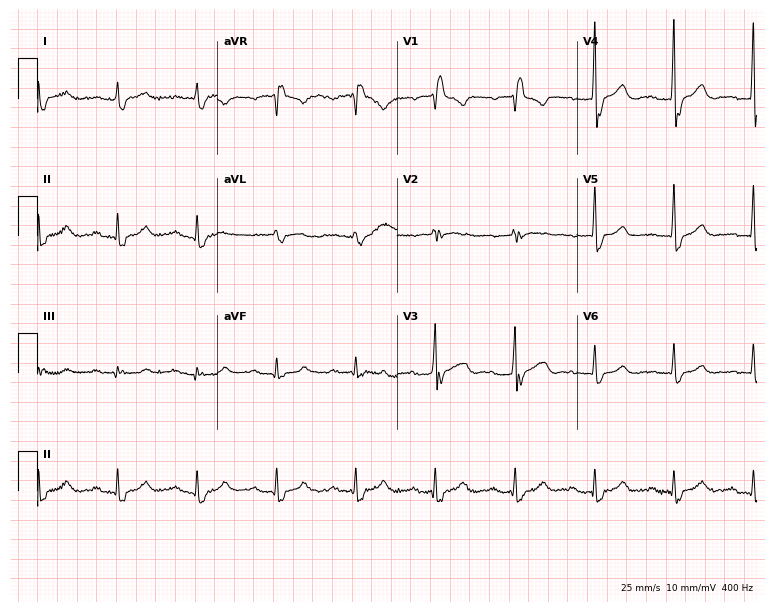
12-lead ECG from a male, 78 years old (7.3-second recording at 400 Hz). Shows first-degree AV block, right bundle branch block.